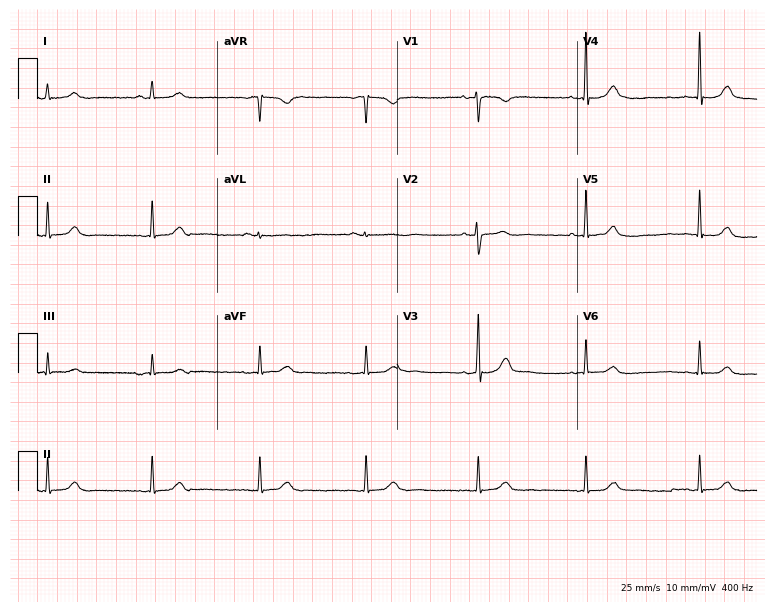
Resting 12-lead electrocardiogram. Patient: a female, 45 years old. Read as a normal ECG.